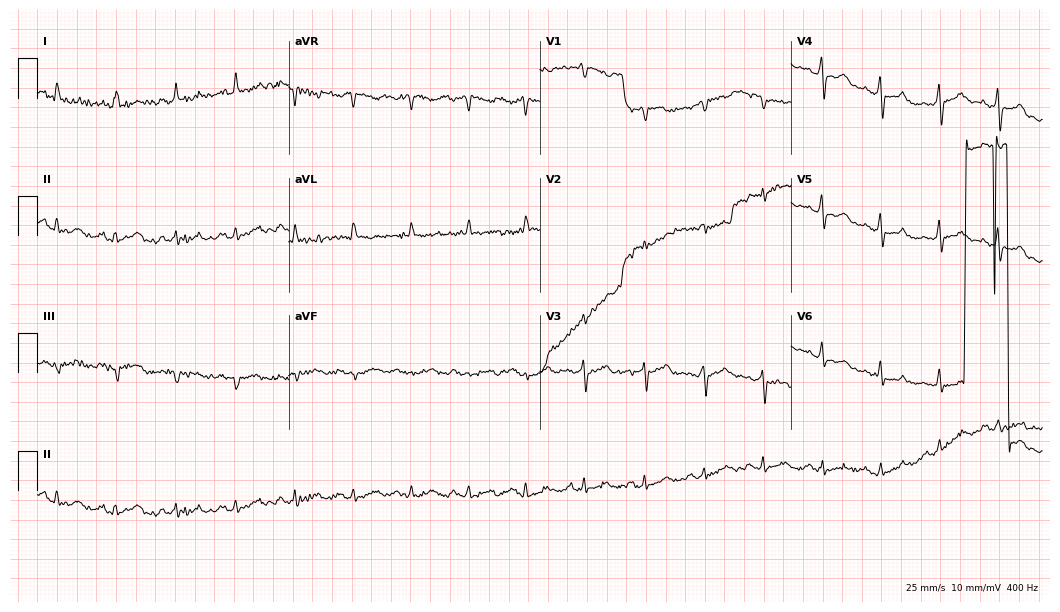
Standard 12-lead ECG recorded from a man, 52 years old. None of these six findings is recorded: first-degree AV block, right bundle branch block, left bundle branch block, sinus bradycardia, atrial fibrillation, sinus tachycardia.